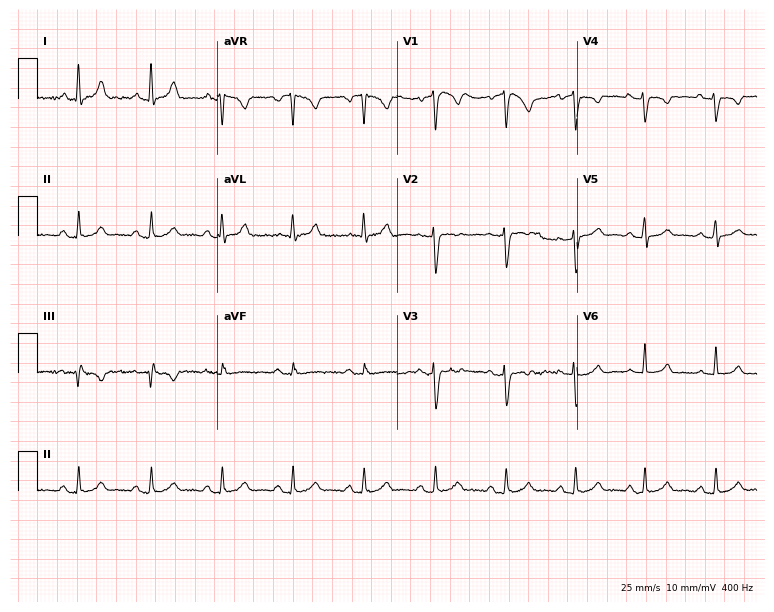
Resting 12-lead electrocardiogram. Patient: a woman, 34 years old. None of these six findings is recorded: first-degree AV block, right bundle branch block, left bundle branch block, sinus bradycardia, atrial fibrillation, sinus tachycardia. Findings outside these six are not listed.